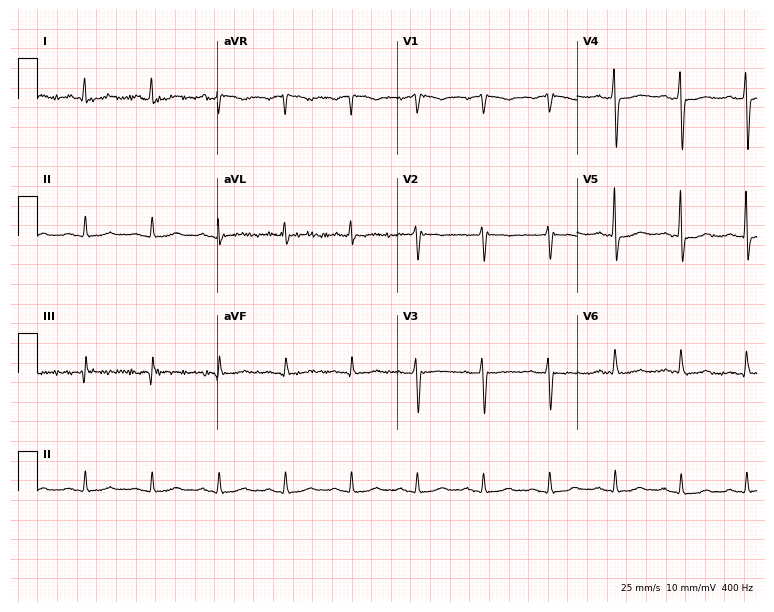
Resting 12-lead electrocardiogram. Patient: a female, 67 years old. None of these six findings is recorded: first-degree AV block, right bundle branch block (RBBB), left bundle branch block (LBBB), sinus bradycardia, atrial fibrillation (AF), sinus tachycardia.